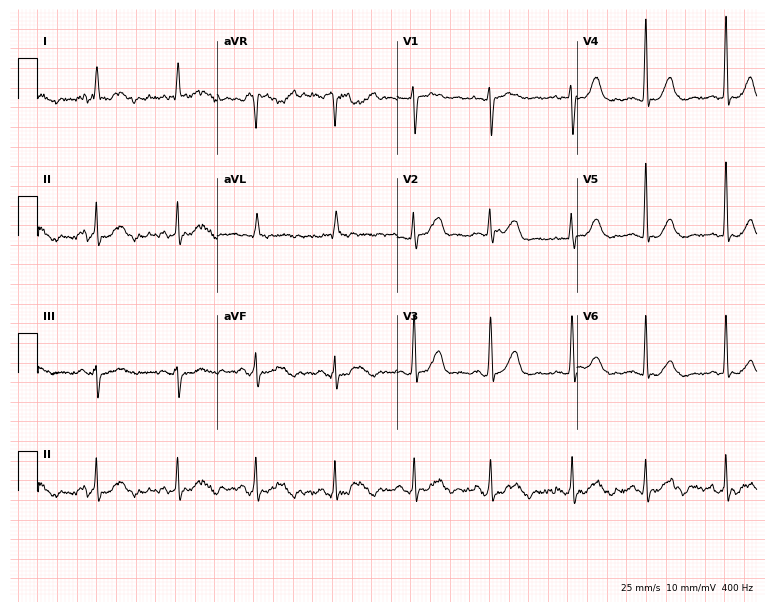
Resting 12-lead electrocardiogram. Patient: a woman, 82 years old. None of these six findings is recorded: first-degree AV block, right bundle branch block, left bundle branch block, sinus bradycardia, atrial fibrillation, sinus tachycardia. Only these six findings were labelled.